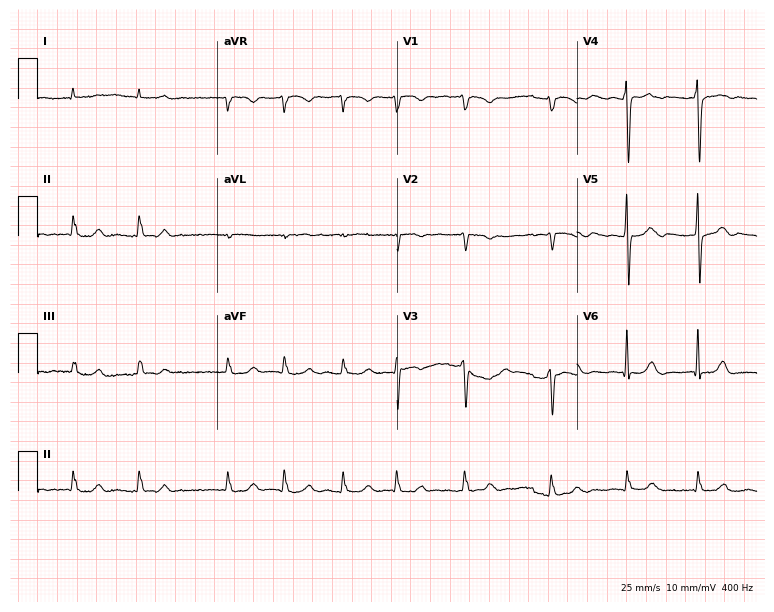
Resting 12-lead electrocardiogram (7.3-second recording at 400 Hz). Patient: a man, 82 years old. The tracing shows atrial fibrillation.